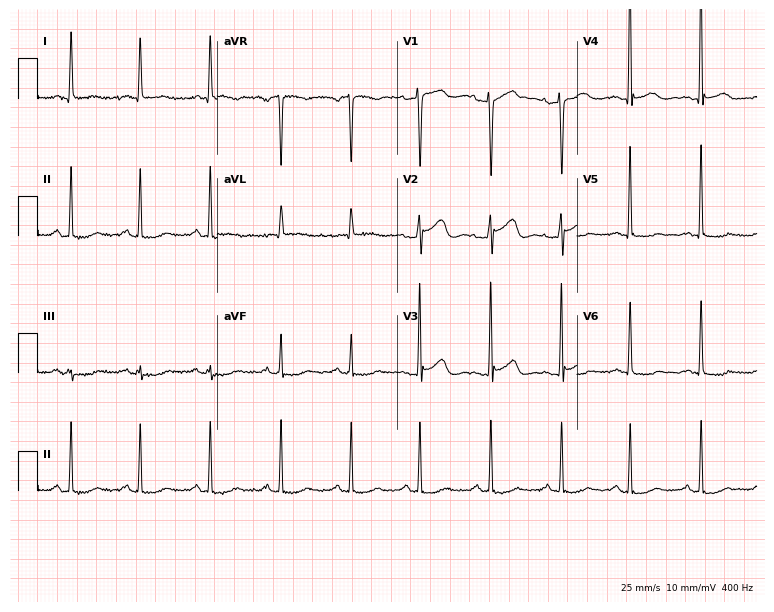
Resting 12-lead electrocardiogram. Patient: a 50-year-old female. None of these six findings is recorded: first-degree AV block, right bundle branch block, left bundle branch block, sinus bradycardia, atrial fibrillation, sinus tachycardia.